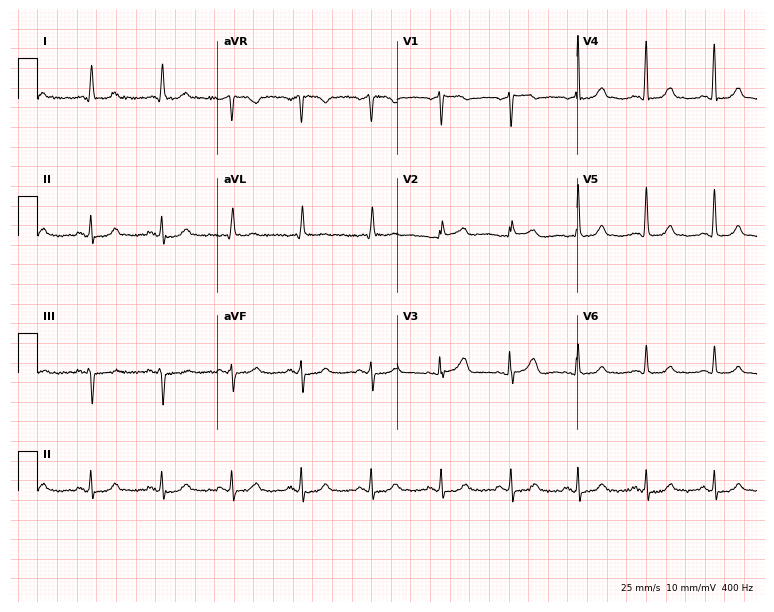
12-lead ECG from a female patient, 76 years old. Labelled as a normal ECG.